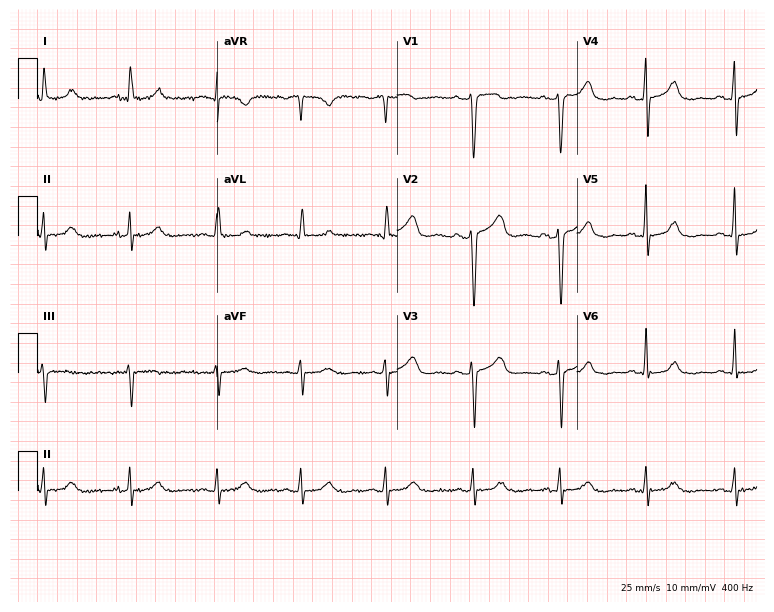
Standard 12-lead ECG recorded from a 44-year-old female patient. None of these six findings is recorded: first-degree AV block, right bundle branch block, left bundle branch block, sinus bradycardia, atrial fibrillation, sinus tachycardia.